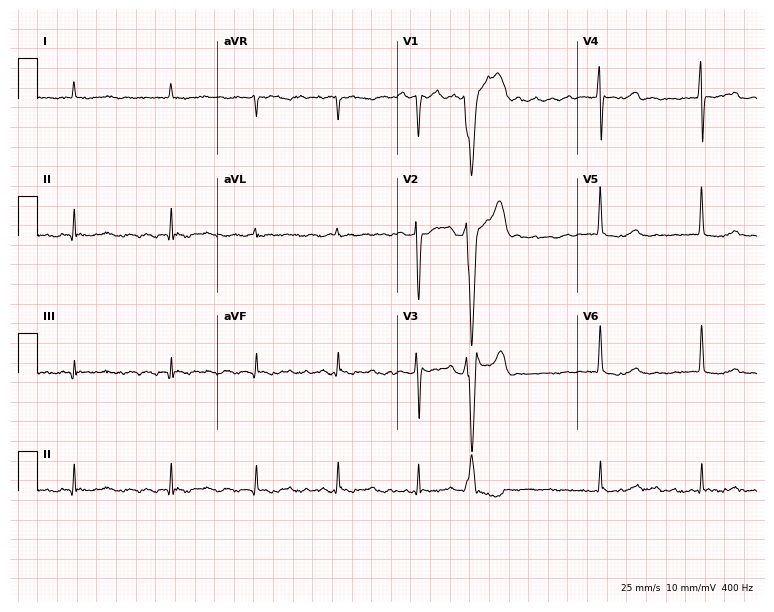
12-lead ECG from a 65-year-old man. Findings include atrial fibrillation.